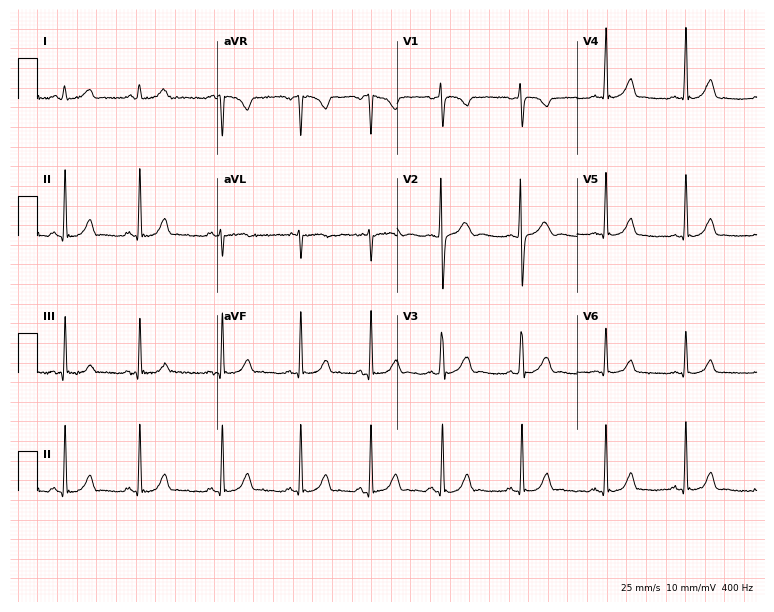
Electrocardiogram (7.3-second recording at 400 Hz), an 18-year-old female. Overall reading on record: normal ECG.